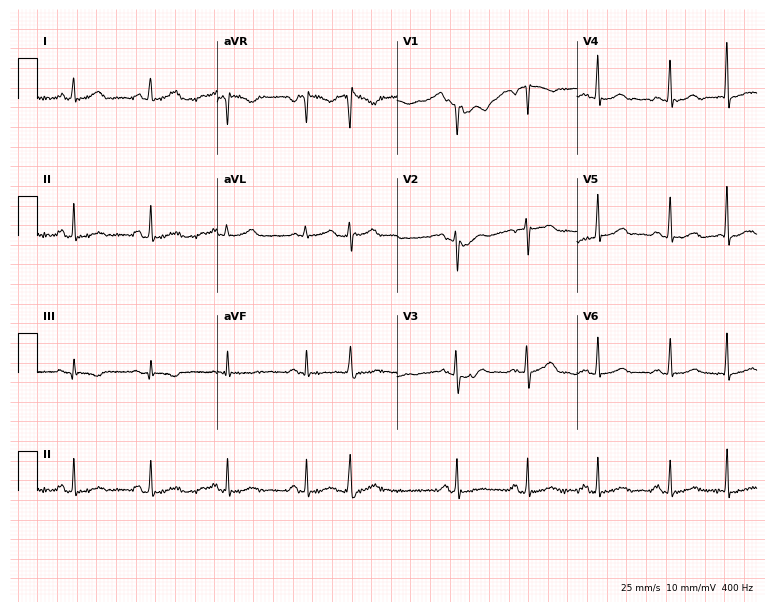
Electrocardiogram, a woman, 52 years old. Of the six screened findings (first-degree AV block, right bundle branch block (RBBB), left bundle branch block (LBBB), sinus bradycardia, atrial fibrillation (AF), sinus tachycardia), none is recorded.